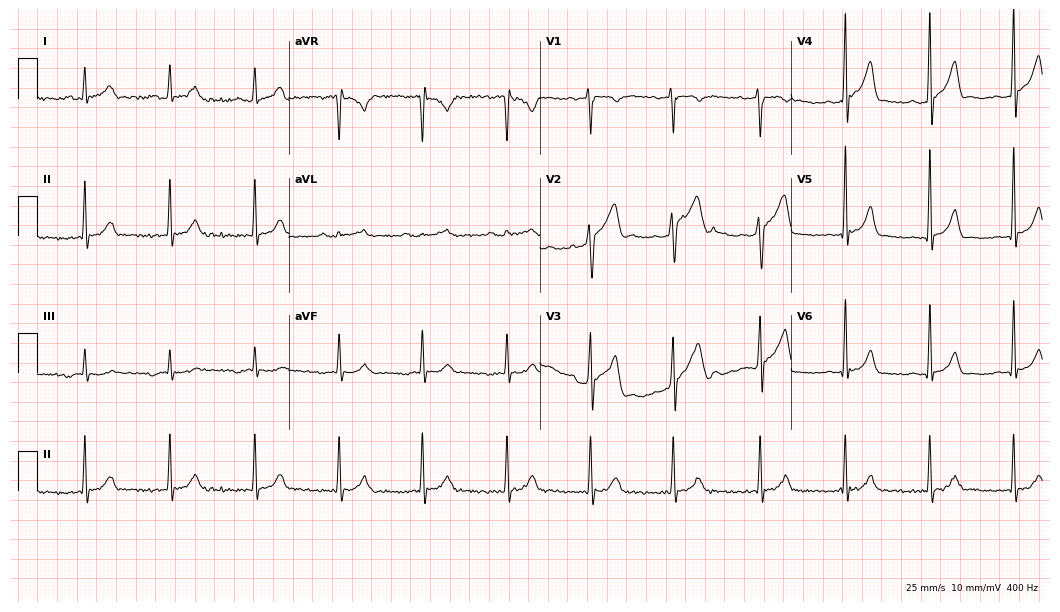
Standard 12-lead ECG recorded from a male, 23 years old (10.2-second recording at 400 Hz). Read as a normal ECG.